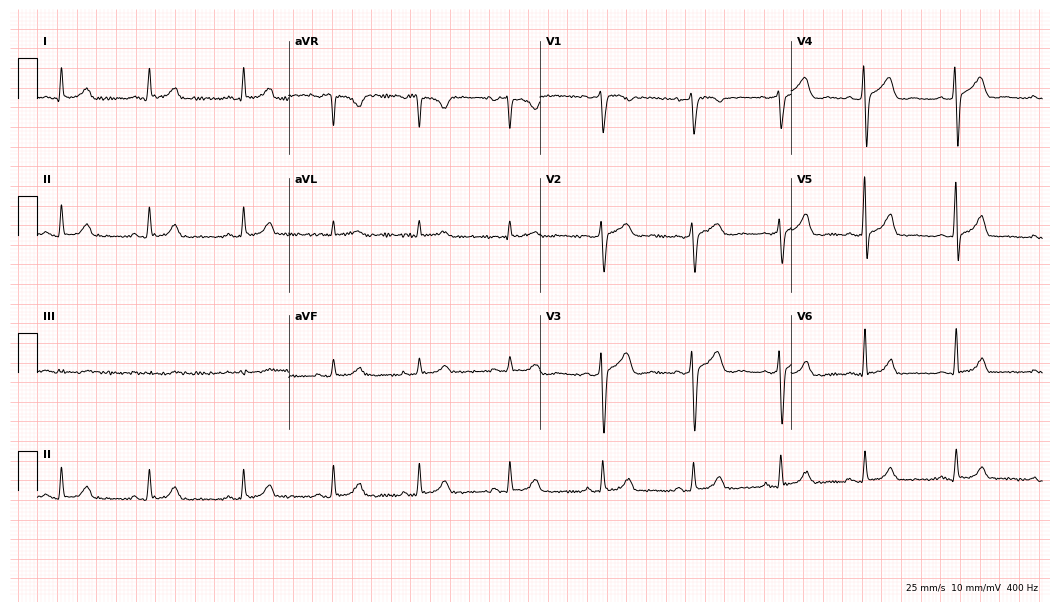
12-lead ECG from a woman, 37 years old. Screened for six findings — first-degree AV block, right bundle branch block (RBBB), left bundle branch block (LBBB), sinus bradycardia, atrial fibrillation (AF), sinus tachycardia — none is recorded. Other findings, if any, are not listed.